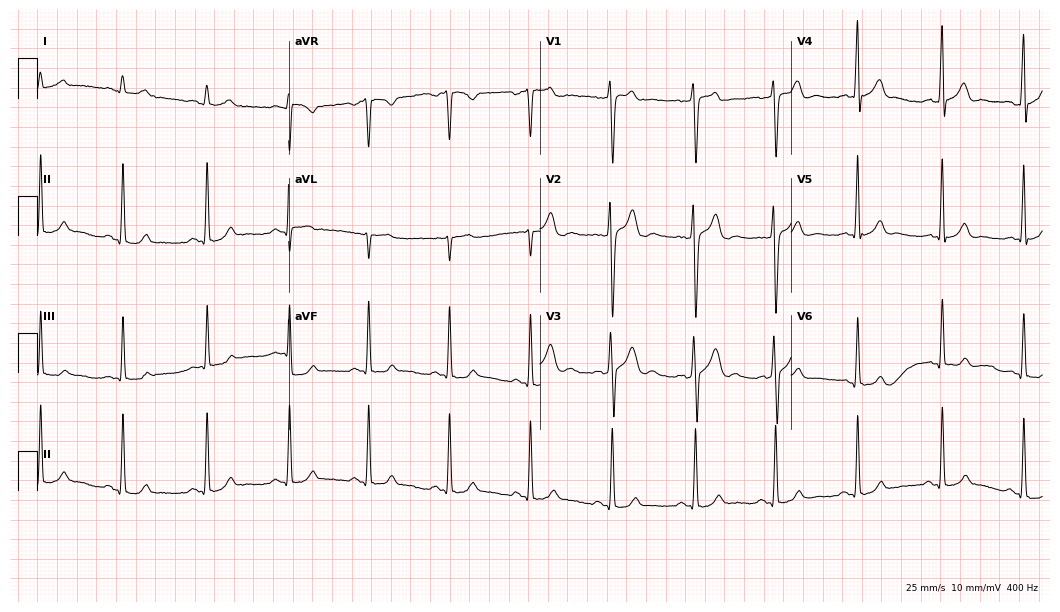
ECG (10.2-second recording at 400 Hz) — a man, 26 years old. Labelled as a normal ECG.